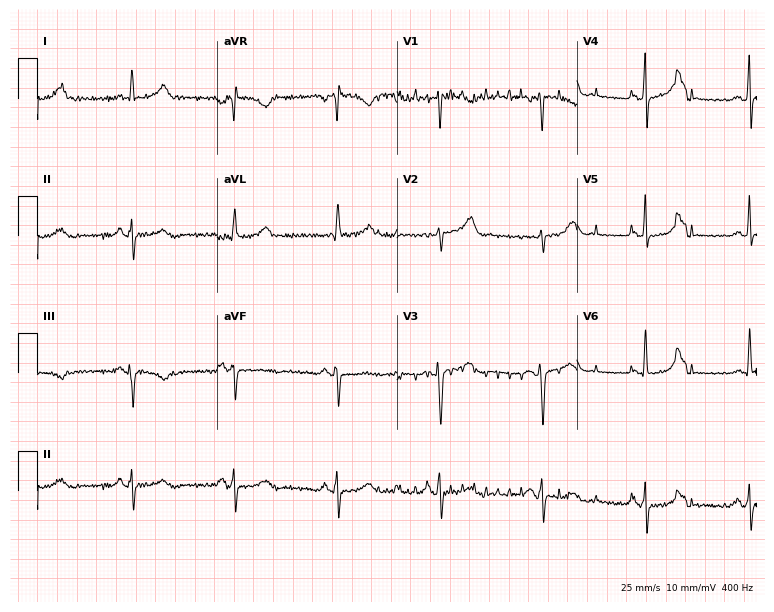
Standard 12-lead ECG recorded from a 72-year-old female (7.3-second recording at 400 Hz). None of these six findings is recorded: first-degree AV block, right bundle branch block, left bundle branch block, sinus bradycardia, atrial fibrillation, sinus tachycardia.